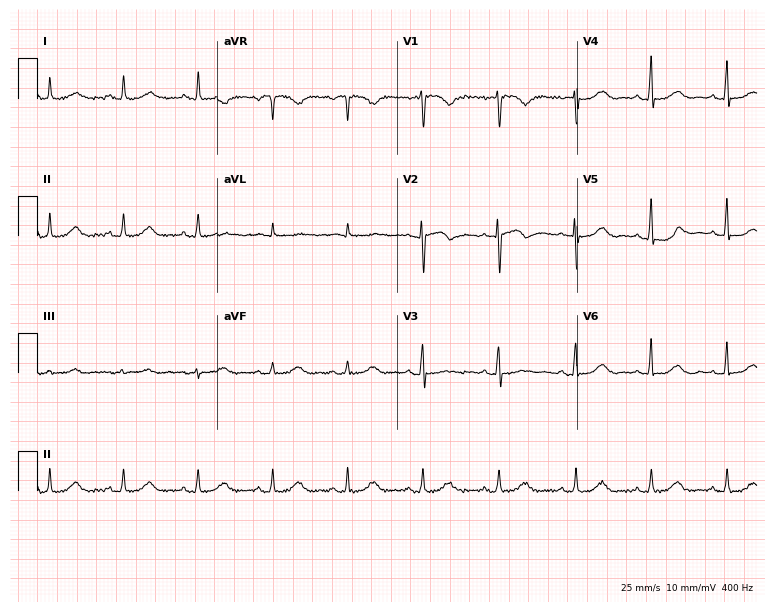
12-lead ECG (7.3-second recording at 400 Hz) from a woman, 55 years old. Screened for six findings — first-degree AV block, right bundle branch block, left bundle branch block, sinus bradycardia, atrial fibrillation, sinus tachycardia — none is recorded.